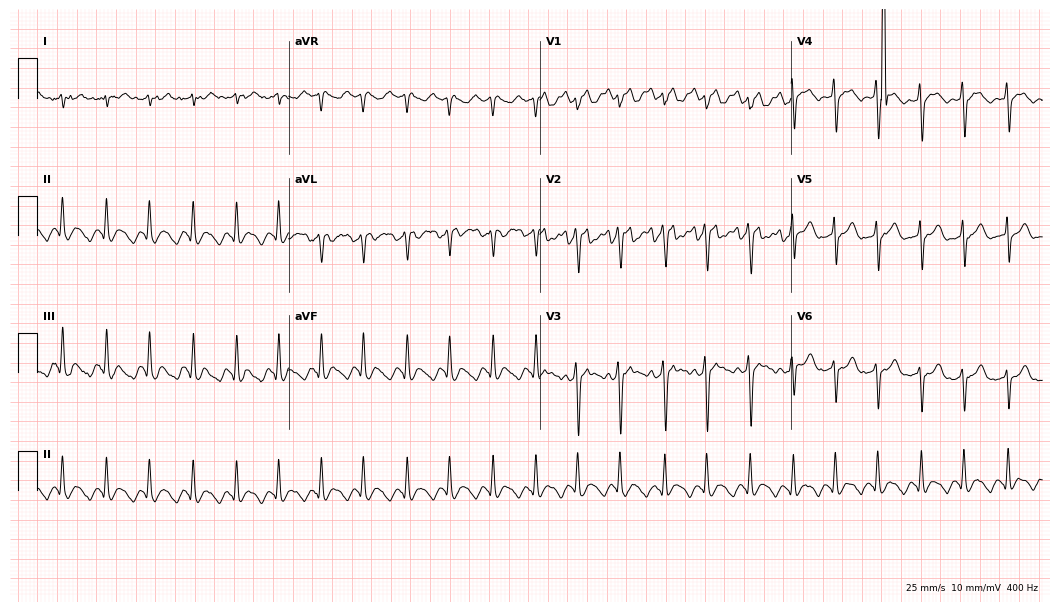
12-lead ECG from a female patient, 84 years old. No first-degree AV block, right bundle branch block (RBBB), left bundle branch block (LBBB), sinus bradycardia, atrial fibrillation (AF) or sinus tachycardia recorded for this tracing. Findings outside these six are not listed.